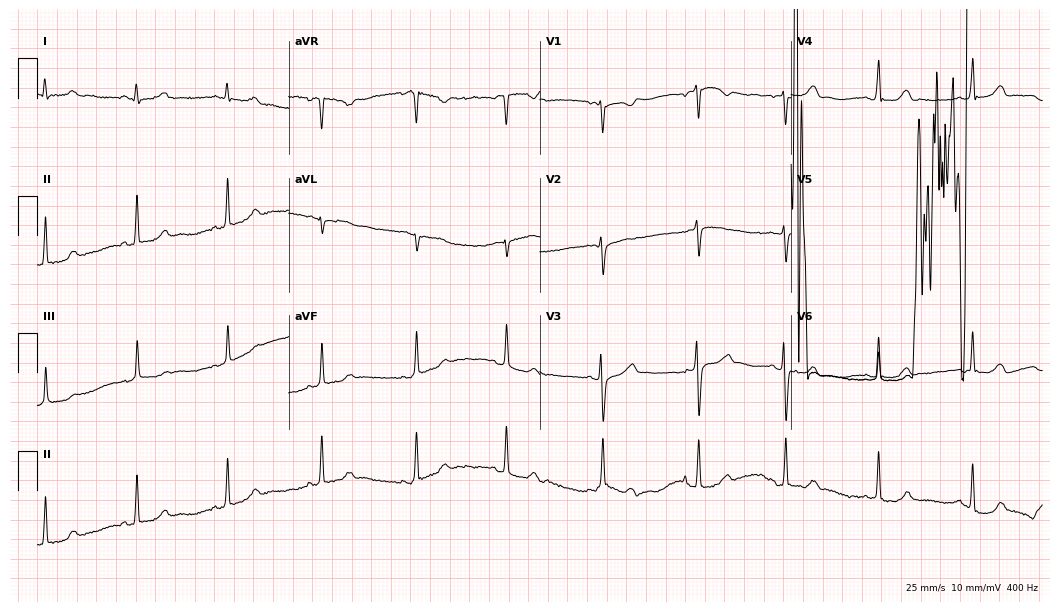
Resting 12-lead electrocardiogram. Patient: a female, 20 years old. None of these six findings is recorded: first-degree AV block, right bundle branch block, left bundle branch block, sinus bradycardia, atrial fibrillation, sinus tachycardia.